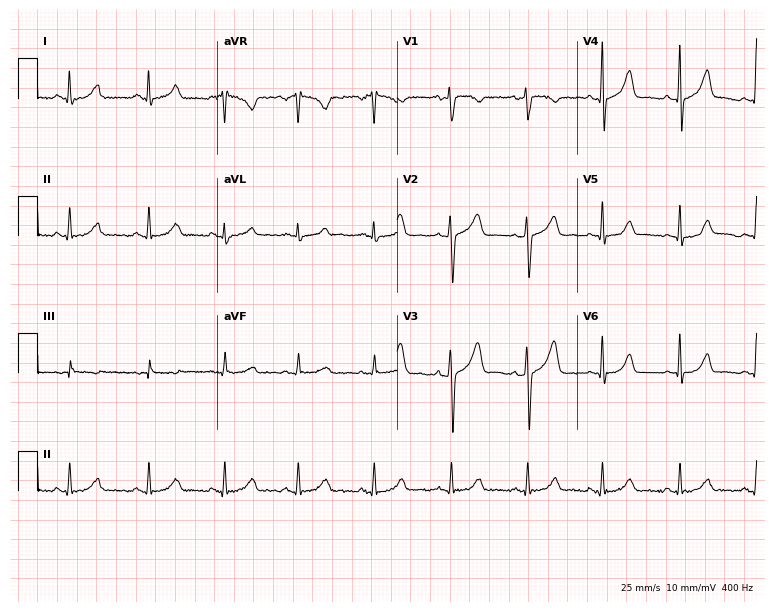
ECG (7.3-second recording at 400 Hz) — a woman, 33 years old. Labelled as a normal ECG.